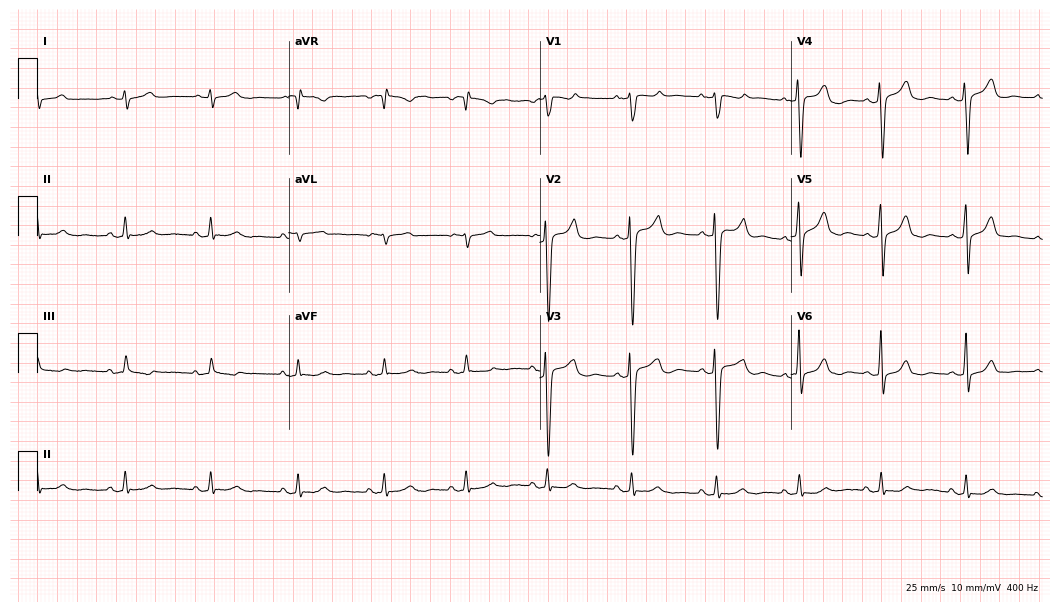
12-lead ECG from a male, 52 years old. No first-degree AV block, right bundle branch block (RBBB), left bundle branch block (LBBB), sinus bradycardia, atrial fibrillation (AF) or sinus tachycardia recorded for this tracing.